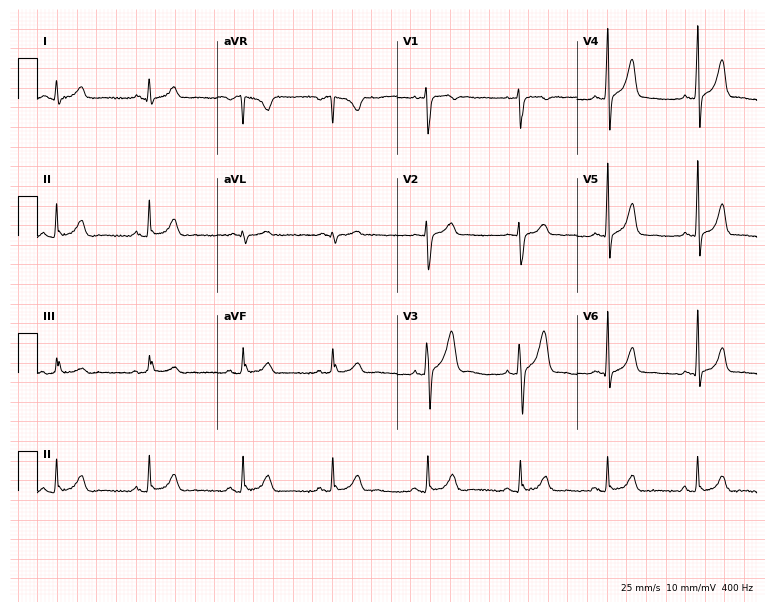
Electrocardiogram, a 36-year-old male. Overall reading on record: normal ECG.